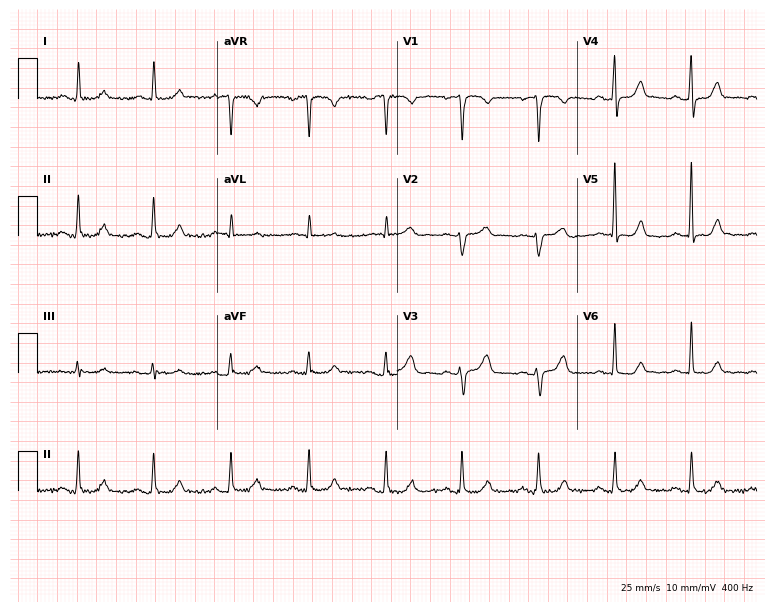
12-lead ECG from a female, 60 years old. Labelled as a normal ECG.